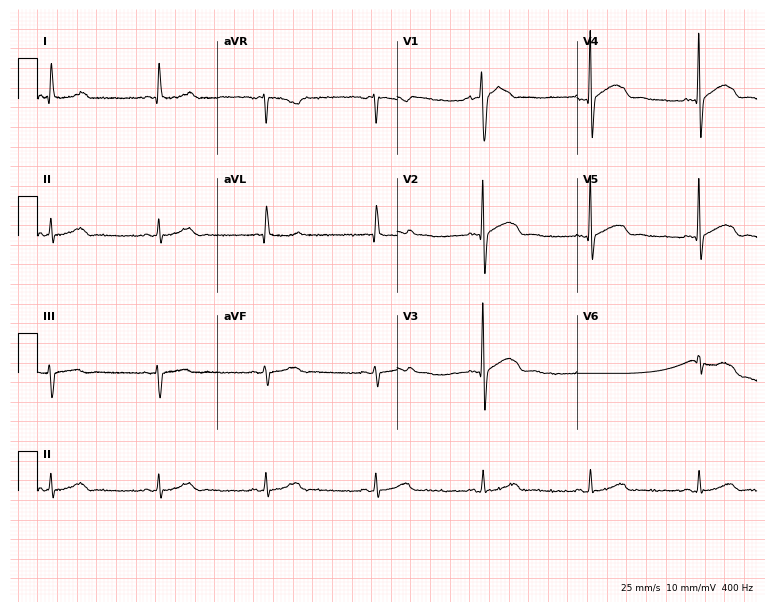
12-lead ECG (7.3-second recording at 400 Hz) from a man, 60 years old. Screened for six findings — first-degree AV block, right bundle branch block, left bundle branch block, sinus bradycardia, atrial fibrillation, sinus tachycardia — none is recorded.